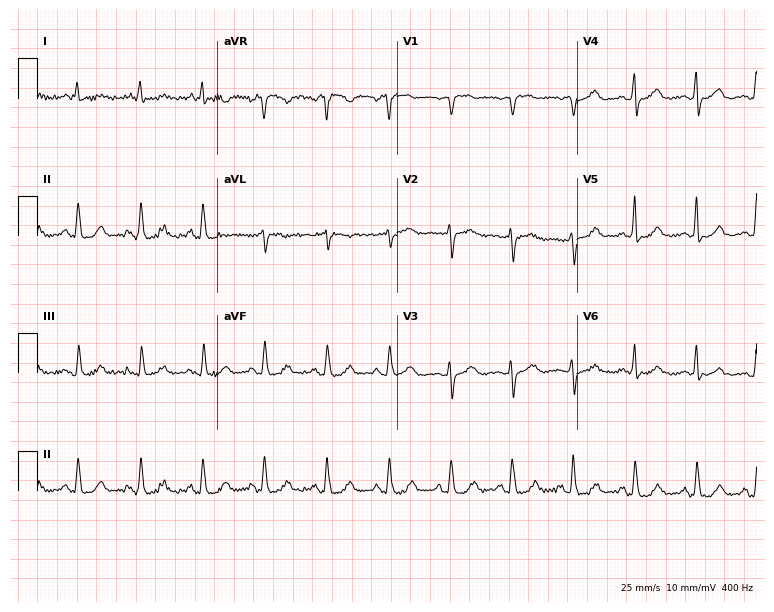
ECG — a 68-year-old female. Screened for six findings — first-degree AV block, right bundle branch block (RBBB), left bundle branch block (LBBB), sinus bradycardia, atrial fibrillation (AF), sinus tachycardia — none is recorded. Findings outside these six are not listed.